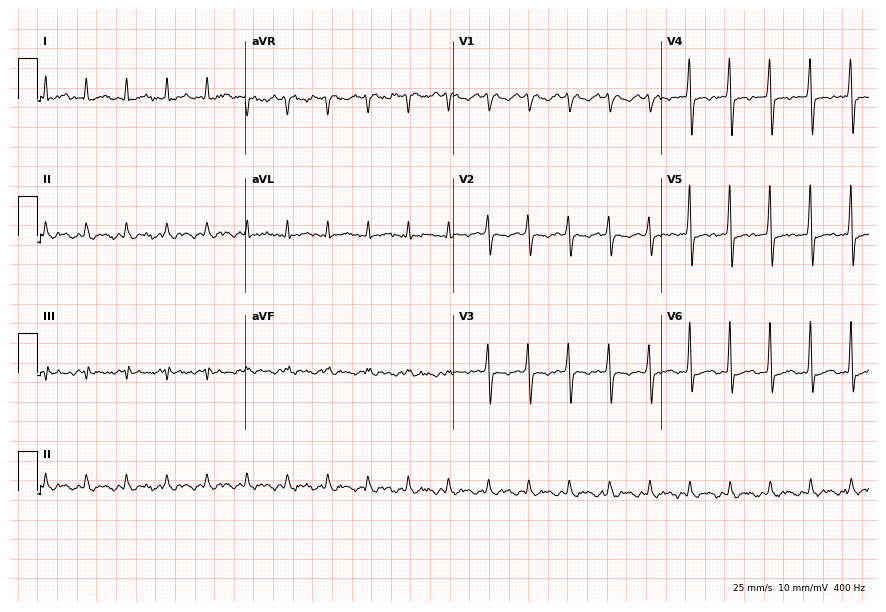
12-lead ECG (8.5-second recording at 400 Hz) from a male, 57 years old. Findings include sinus tachycardia (a sinus rate of 100 beats per minute or more).